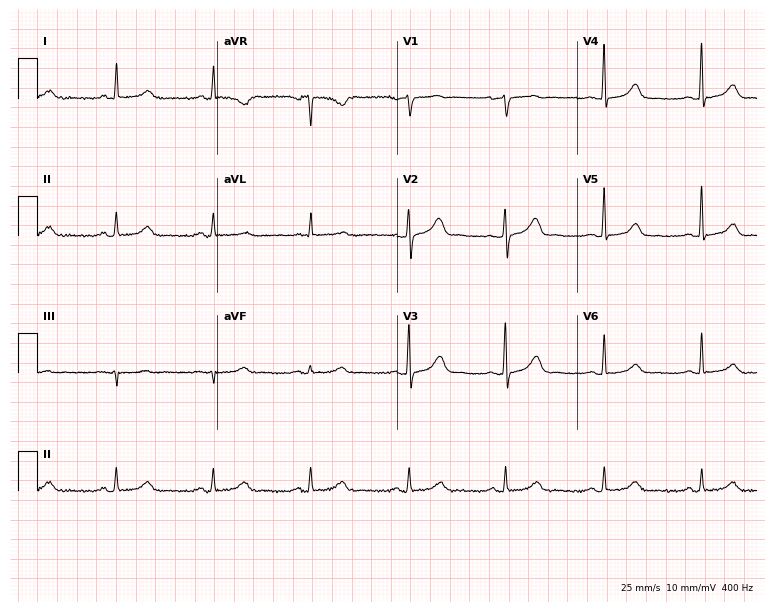
Electrocardiogram, a female, 59 years old. Overall reading on record: normal ECG.